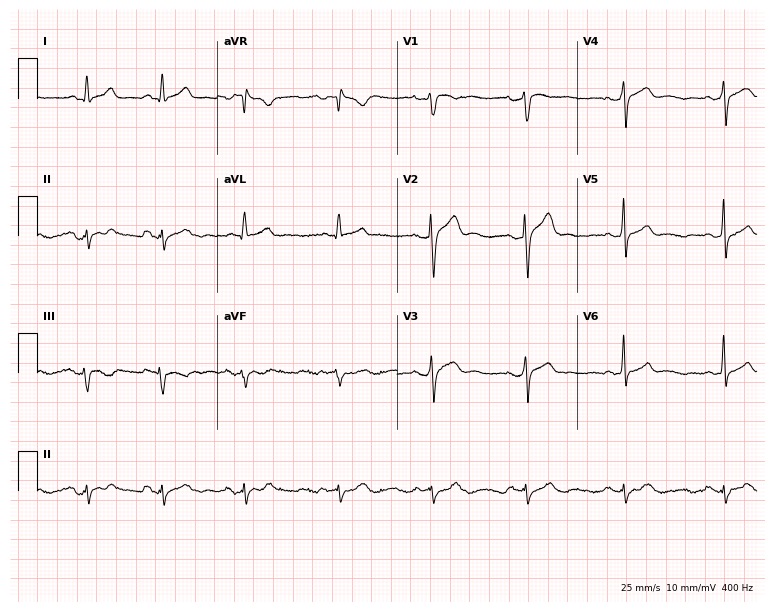
Resting 12-lead electrocardiogram (7.3-second recording at 400 Hz). Patient: a 29-year-old male. None of these six findings is recorded: first-degree AV block, right bundle branch block, left bundle branch block, sinus bradycardia, atrial fibrillation, sinus tachycardia.